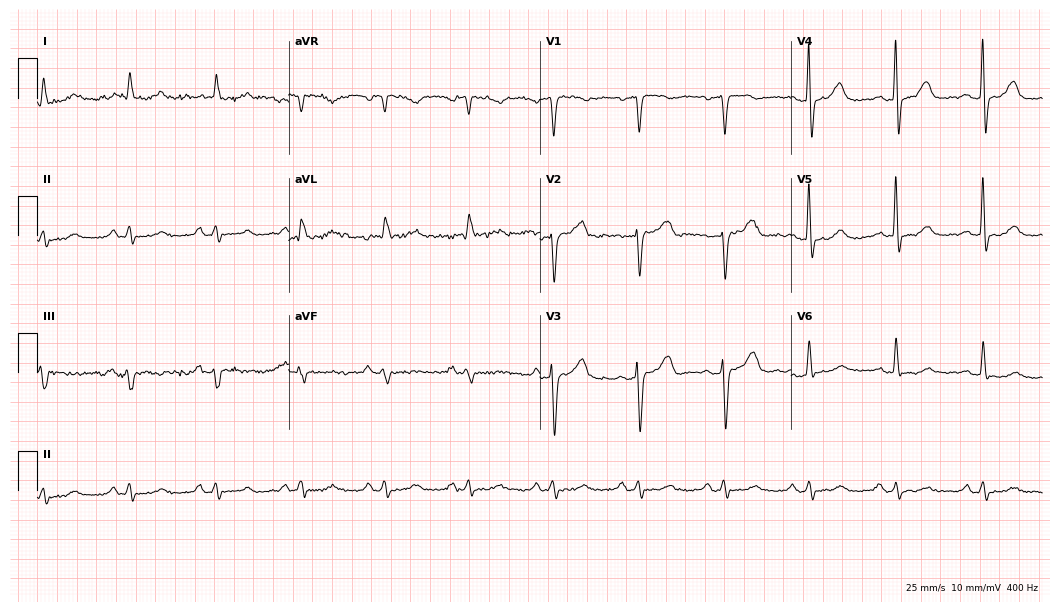
12-lead ECG (10.2-second recording at 400 Hz) from a 77-year-old female patient. Labelled as a normal ECG.